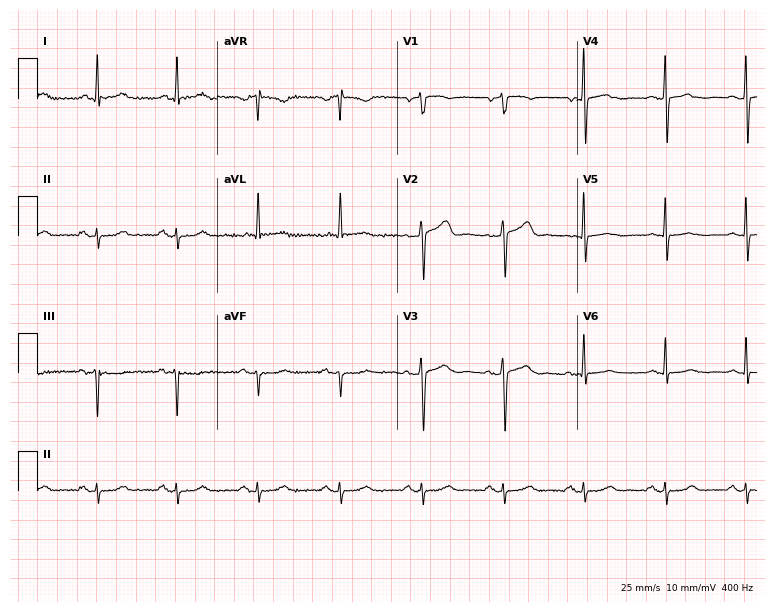
Resting 12-lead electrocardiogram (7.3-second recording at 400 Hz). Patient: a 57-year-old female. None of these six findings is recorded: first-degree AV block, right bundle branch block, left bundle branch block, sinus bradycardia, atrial fibrillation, sinus tachycardia. Other findings, if any, are not listed.